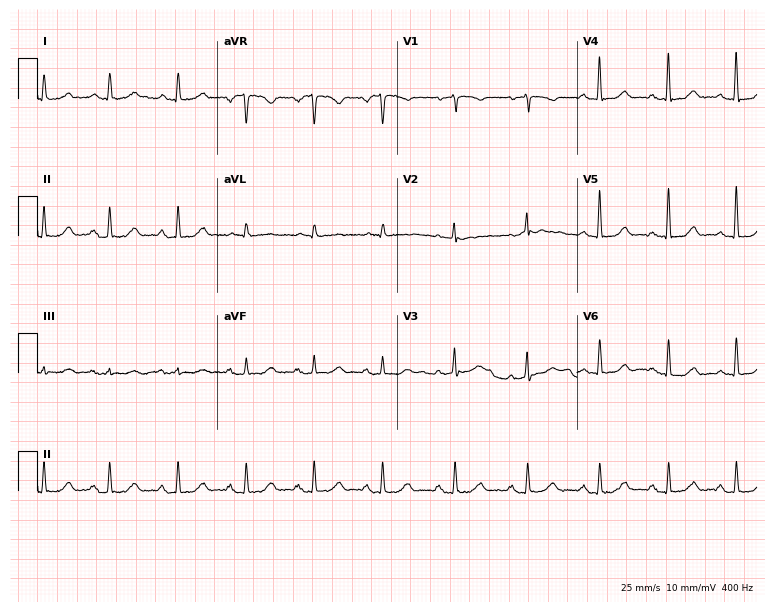
ECG (7.3-second recording at 400 Hz) — a 70-year-old female. Screened for six findings — first-degree AV block, right bundle branch block, left bundle branch block, sinus bradycardia, atrial fibrillation, sinus tachycardia — none is recorded.